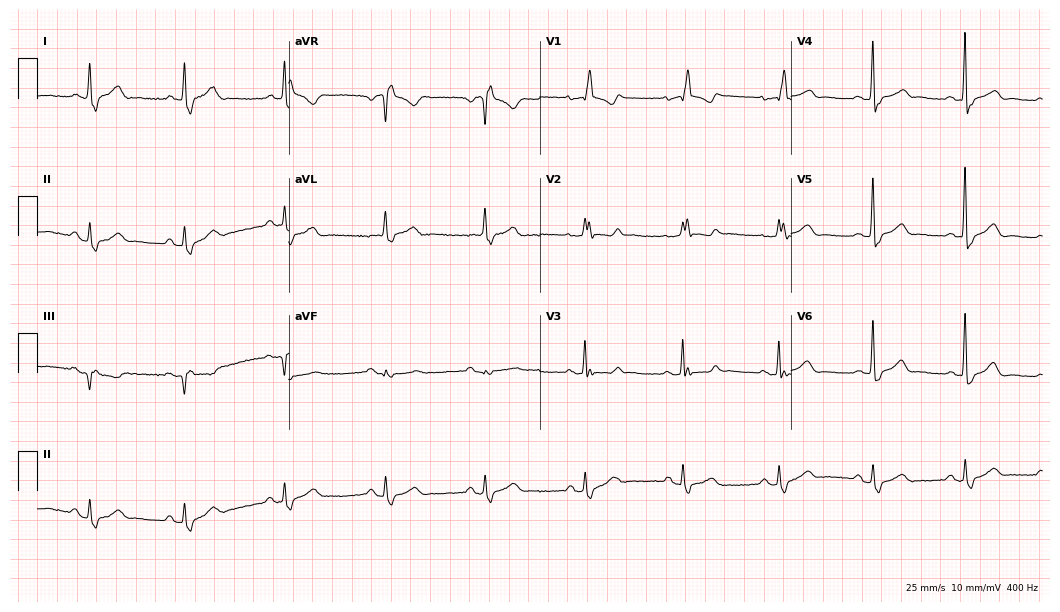
Resting 12-lead electrocardiogram (10.2-second recording at 400 Hz). Patient: a woman, 79 years old. The tracing shows right bundle branch block.